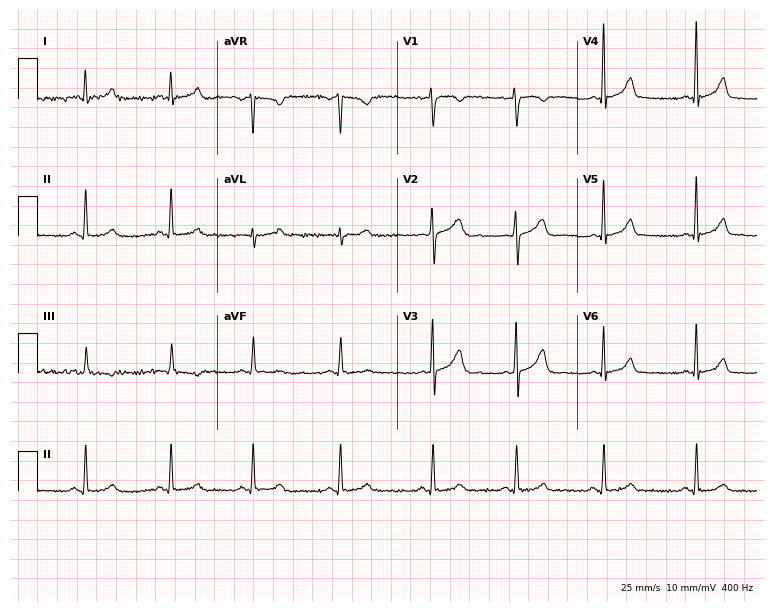
Electrocardiogram (7.3-second recording at 400 Hz), a 34-year-old woman. Of the six screened findings (first-degree AV block, right bundle branch block, left bundle branch block, sinus bradycardia, atrial fibrillation, sinus tachycardia), none is recorded.